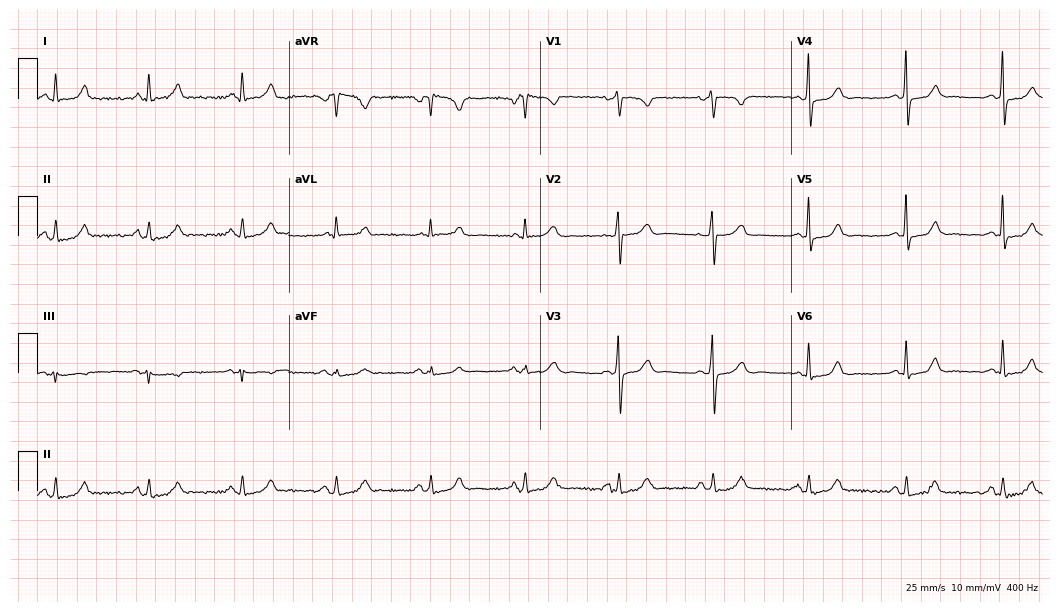
Resting 12-lead electrocardiogram. Patient: a female, 48 years old. Read as a normal ECG.